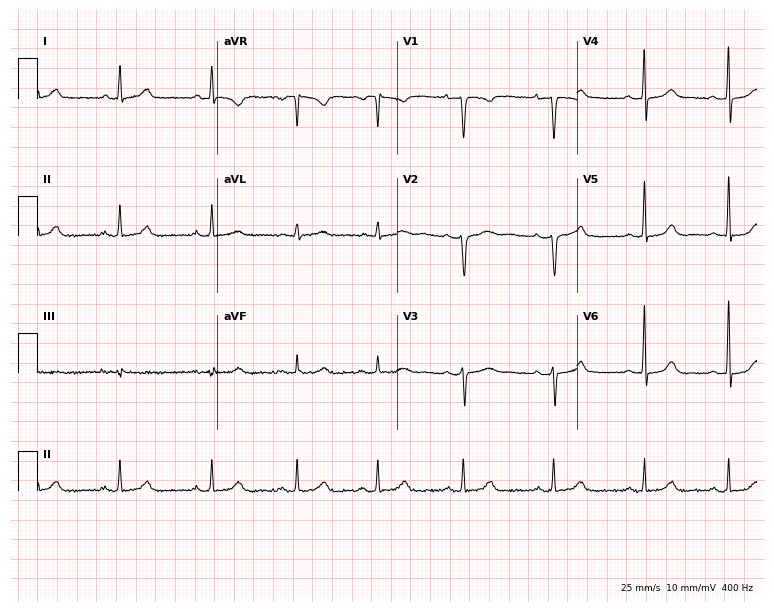
Electrocardiogram (7.3-second recording at 400 Hz), a female, 38 years old. Overall reading on record: normal ECG.